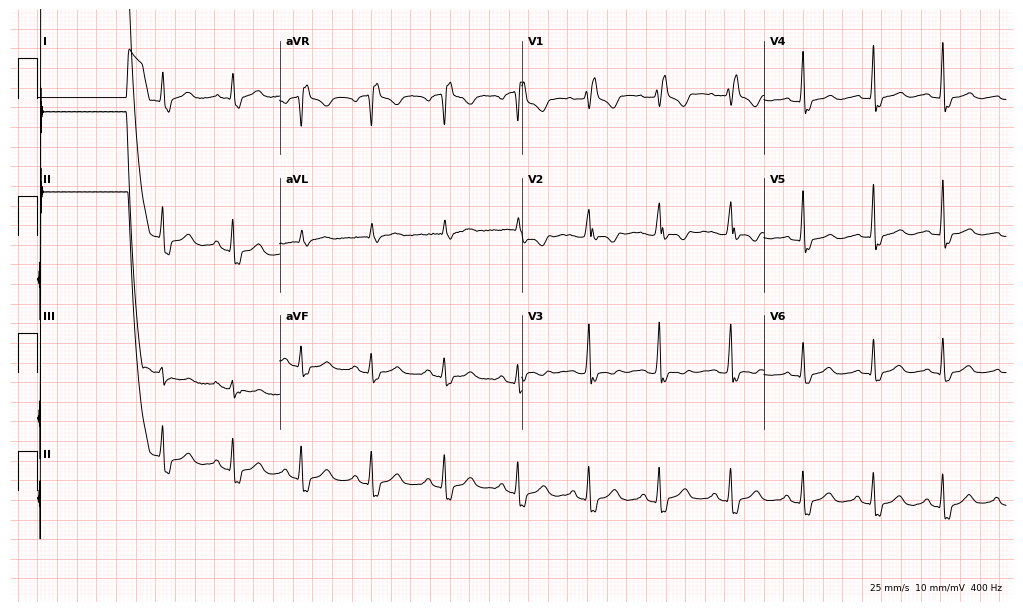
Electrocardiogram, a female, 37 years old. Interpretation includes right bundle branch block.